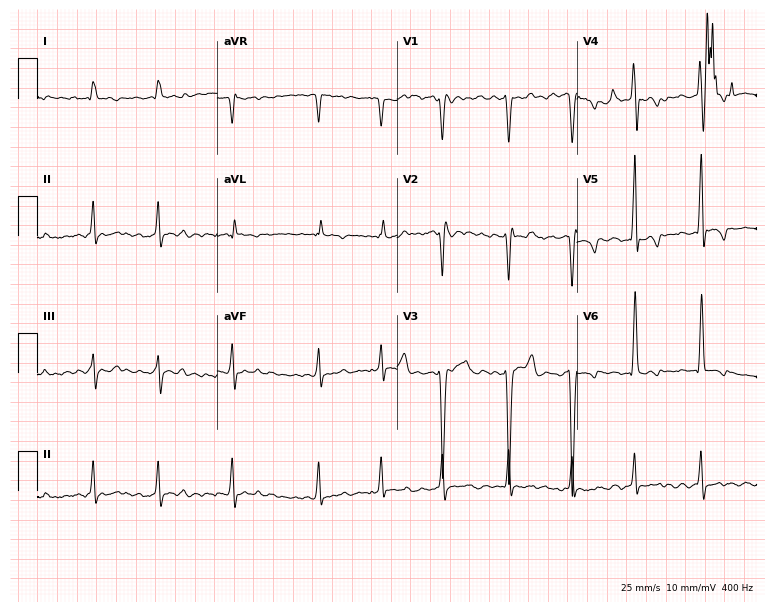
12-lead ECG from a man, 23 years old. Findings include atrial fibrillation.